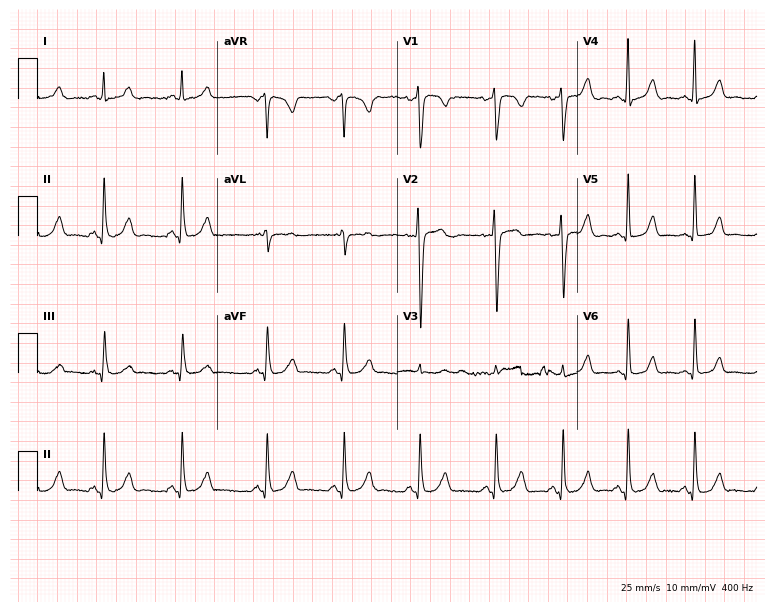
Resting 12-lead electrocardiogram (7.3-second recording at 400 Hz). Patient: a 23-year-old female. Read as a normal ECG.